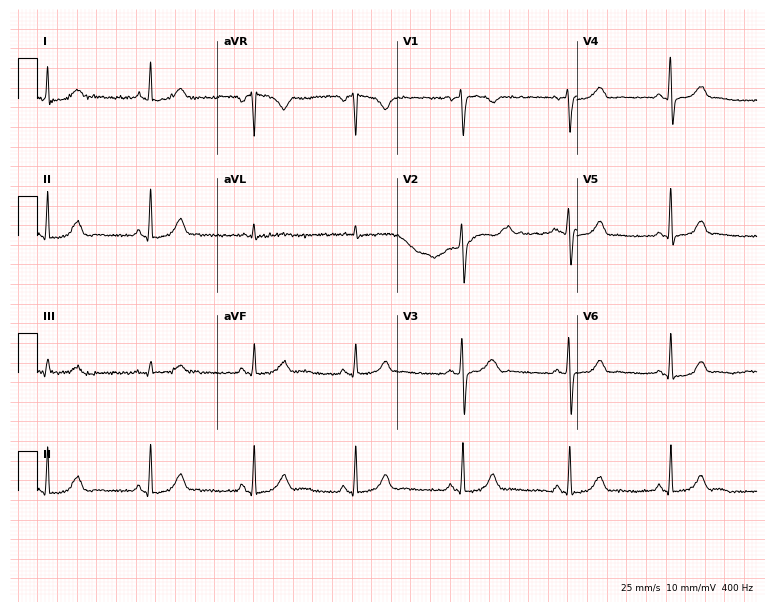
Resting 12-lead electrocardiogram. Patient: a woman, 40 years old. Read as a normal ECG.